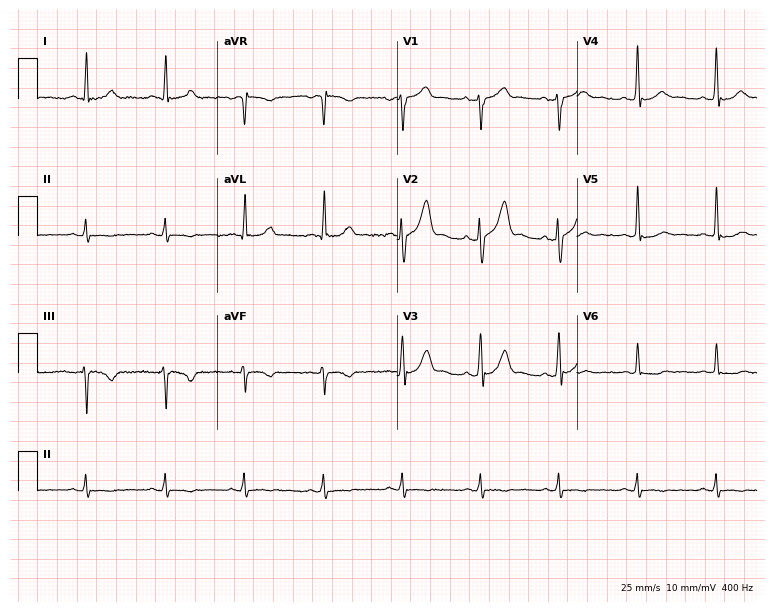
Resting 12-lead electrocardiogram (7.3-second recording at 400 Hz). Patient: a male, 34 years old. None of these six findings is recorded: first-degree AV block, right bundle branch block, left bundle branch block, sinus bradycardia, atrial fibrillation, sinus tachycardia. Only these six findings were labelled.